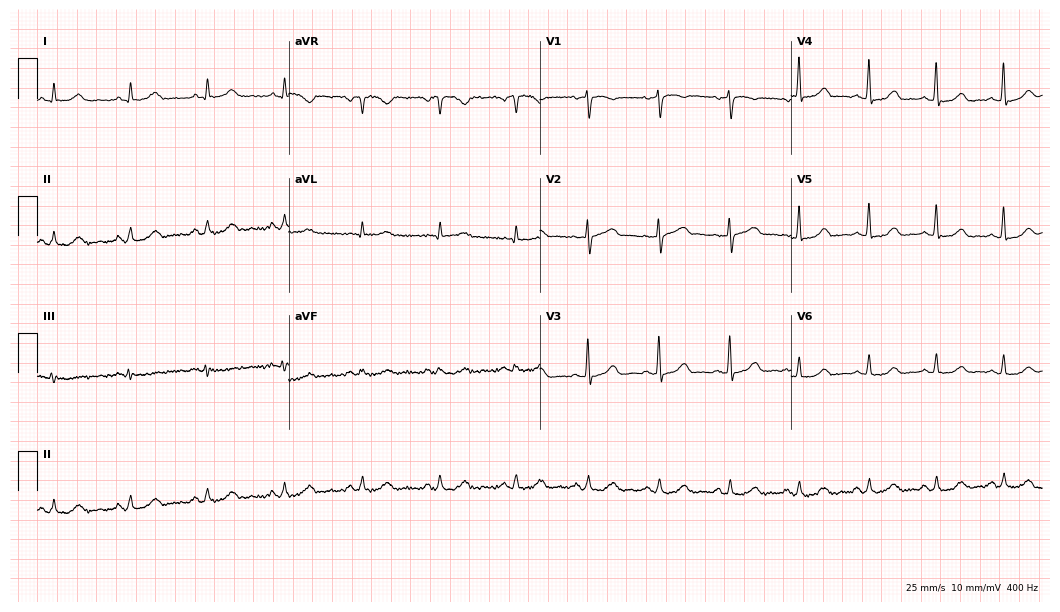
Resting 12-lead electrocardiogram. Patient: a 58-year-old female. Read as a normal ECG.